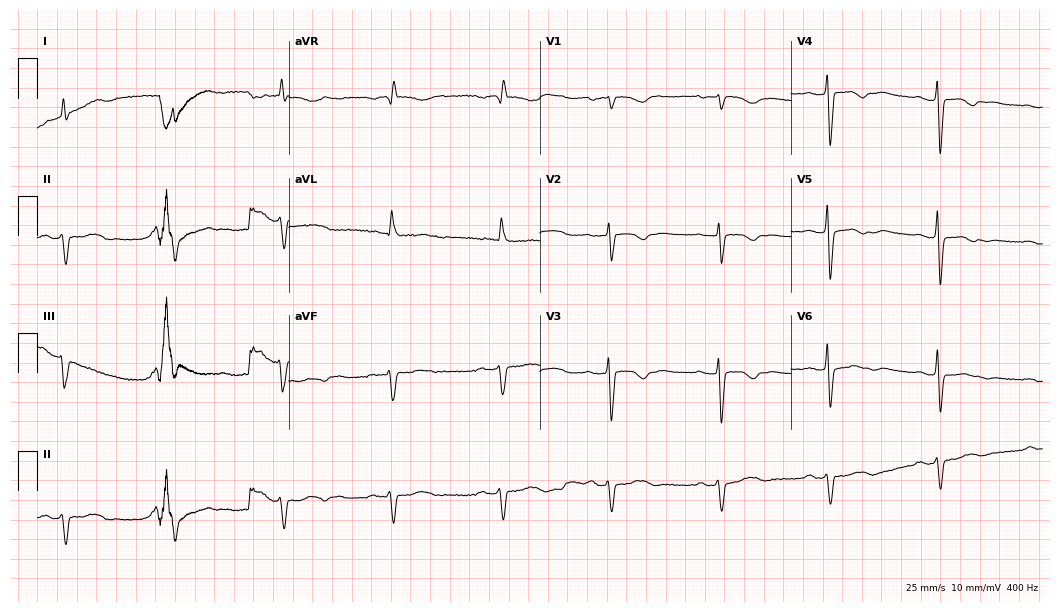
Resting 12-lead electrocardiogram (10.2-second recording at 400 Hz). Patient: a 76-year-old female. None of these six findings is recorded: first-degree AV block, right bundle branch block, left bundle branch block, sinus bradycardia, atrial fibrillation, sinus tachycardia. Findings outside these six are not listed.